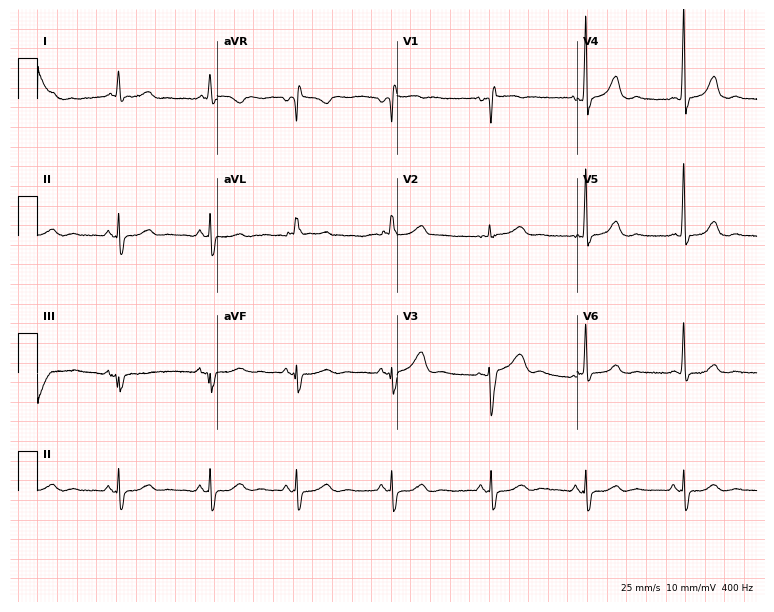
Electrocardiogram, a 52-year-old female patient. Of the six screened findings (first-degree AV block, right bundle branch block, left bundle branch block, sinus bradycardia, atrial fibrillation, sinus tachycardia), none is recorded. Other findings, if any, are not listed.